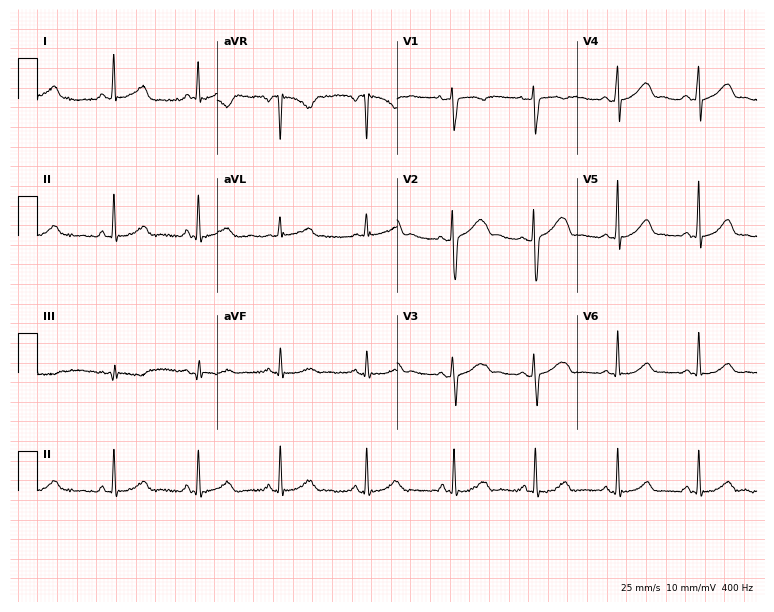
12-lead ECG from a woman, 34 years old (7.3-second recording at 400 Hz). Recorded interpretation: within normal limits.